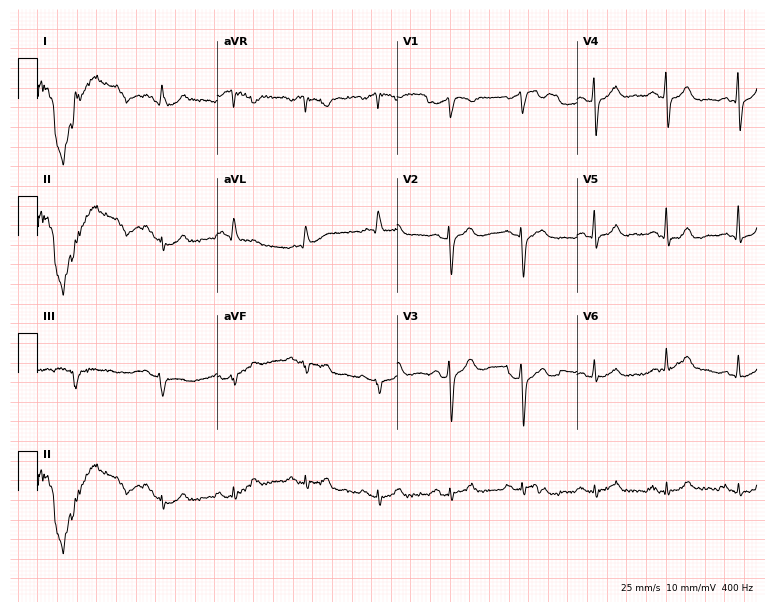
Standard 12-lead ECG recorded from a 72-year-old male patient. None of these six findings is recorded: first-degree AV block, right bundle branch block, left bundle branch block, sinus bradycardia, atrial fibrillation, sinus tachycardia. Only these six findings were labelled.